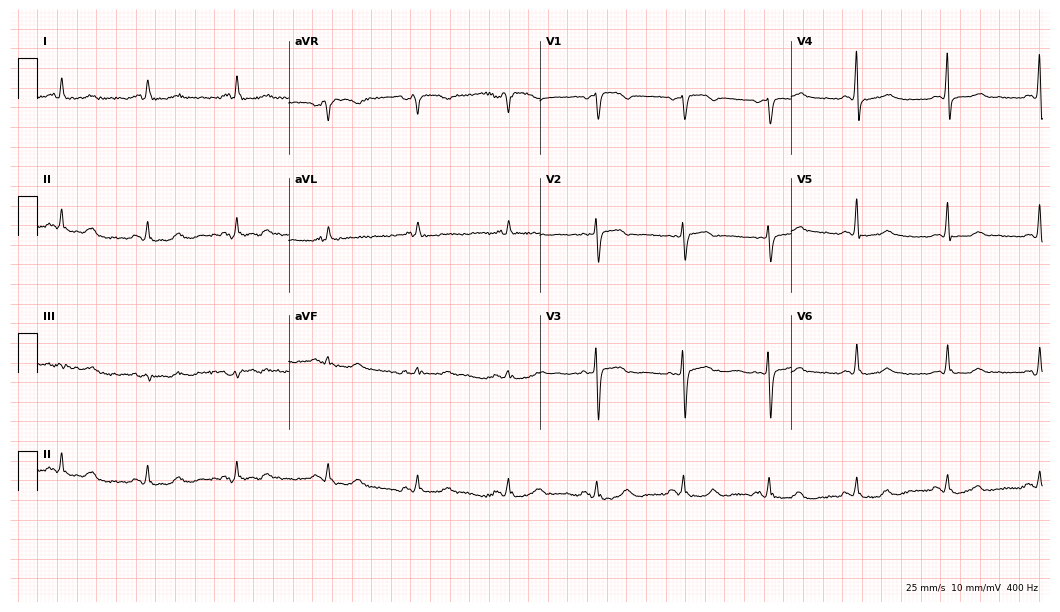
12-lead ECG from a 66-year-old female. Labelled as a normal ECG.